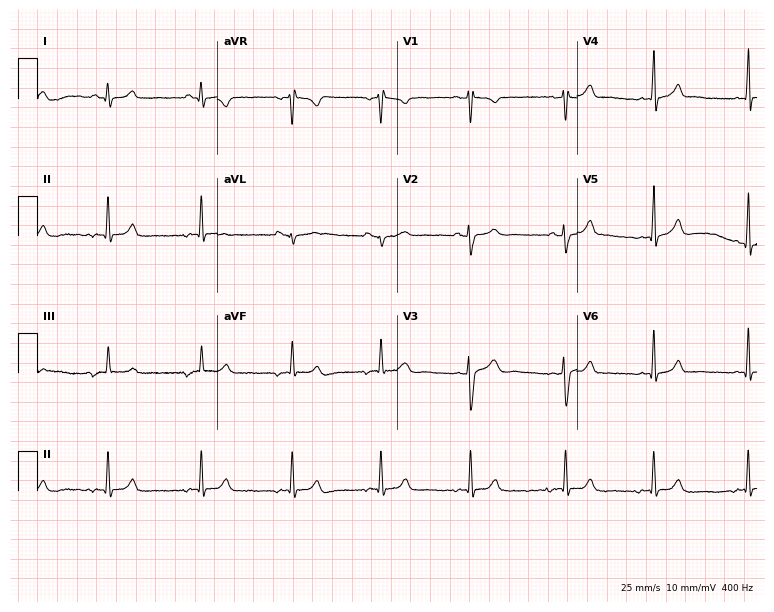
12-lead ECG (7.3-second recording at 400 Hz) from a woman, 19 years old. Labelled as a normal ECG.